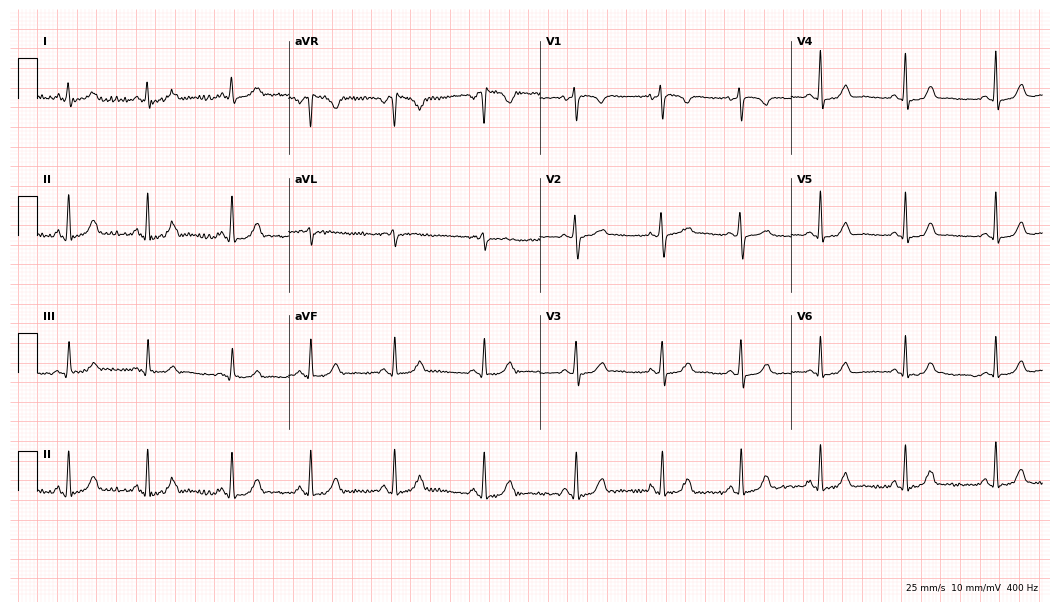
Electrocardiogram, a 34-year-old woman. Of the six screened findings (first-degree AV block, right bundle branch block, left bundle branch block, sinus bradycardia, atrial fibrillation, sinus tachycardia), none is recorded.